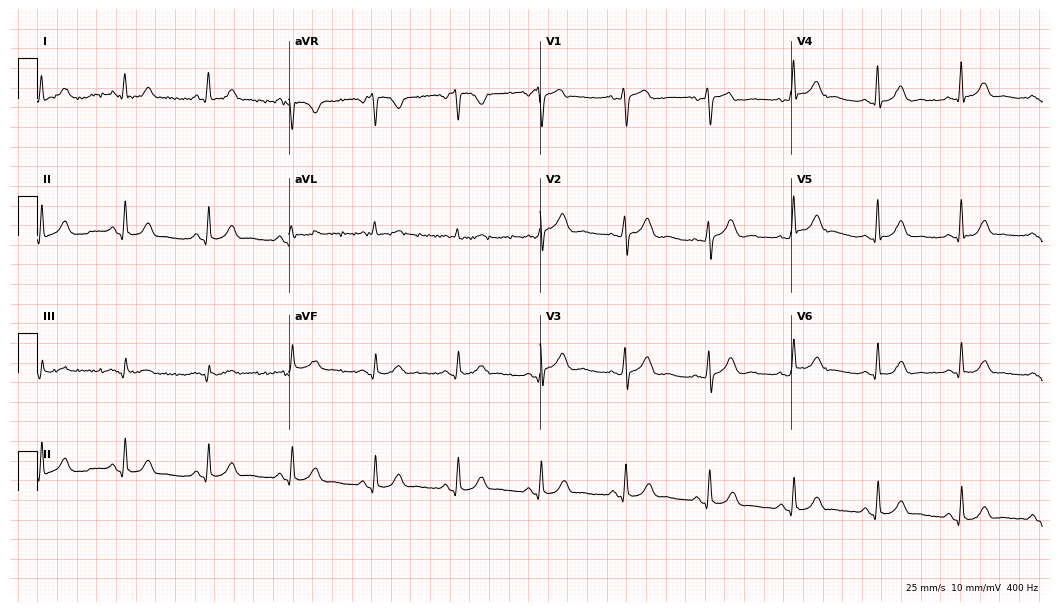
ECG — a 56-year-old female patient. Labelled as a normal ECG.